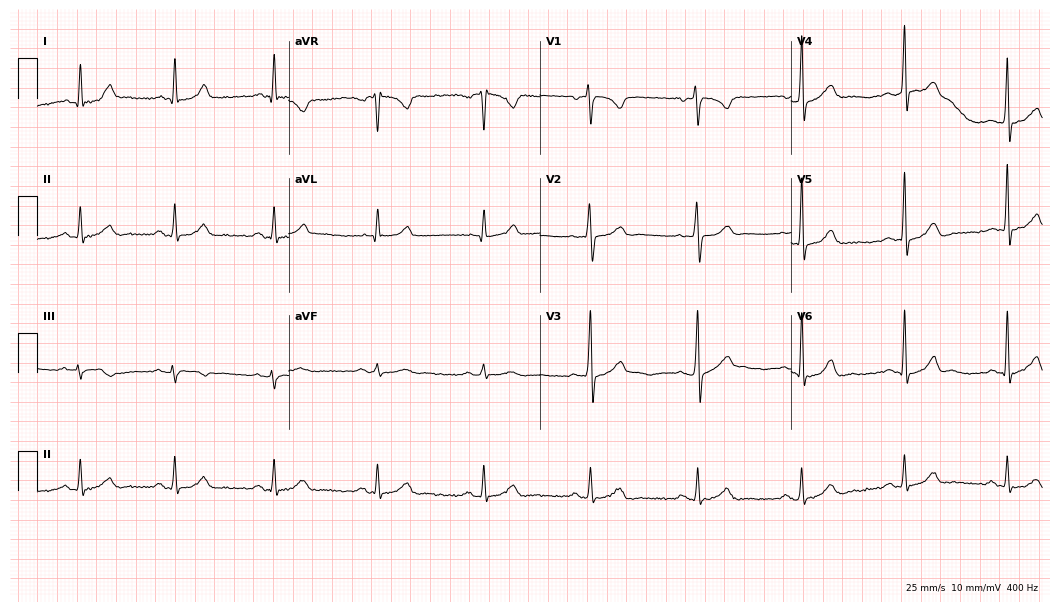
Resting 12-lead electrocardiogram. Patient: a male, 50 years old. Read as a normal ECG.